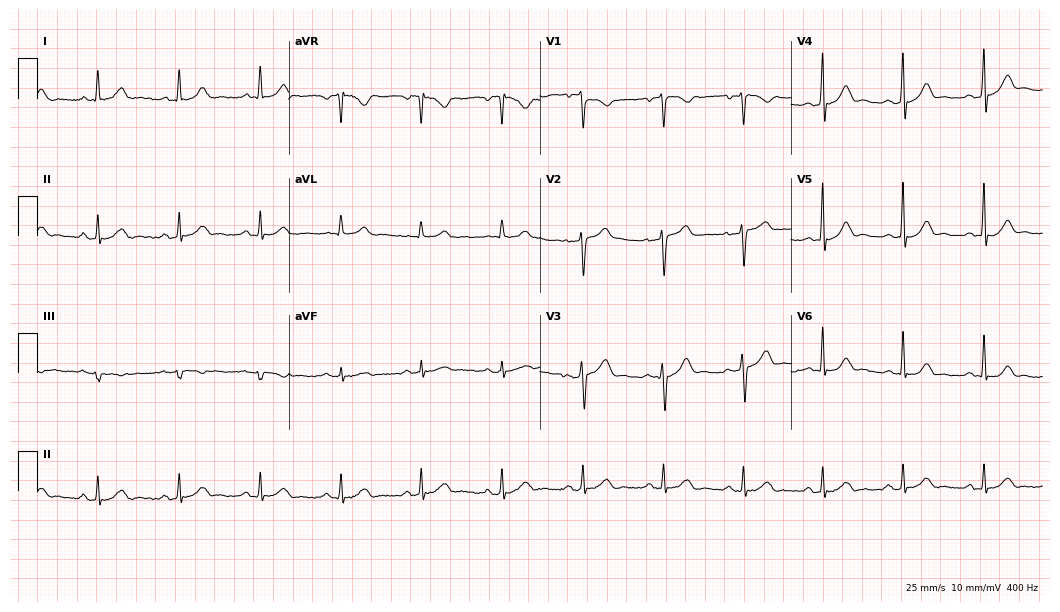
ECG — a man, 53 years old. Labelled as a normal ECG.